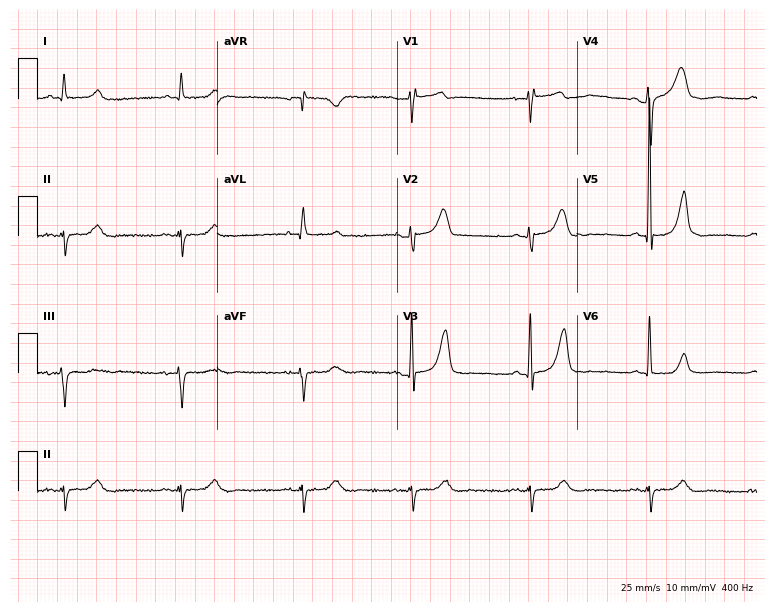
Electrocardiogram (7.3-second recording at 400 Hz), a female patient, 52 years old. Of the six screened findings (first-degree AV block, right bundle branch block (RBBB), left bundle branch block (LBBB), sinus bradycardia, atrial fibrillation (AF), sinus tachycardia), none is recorded.